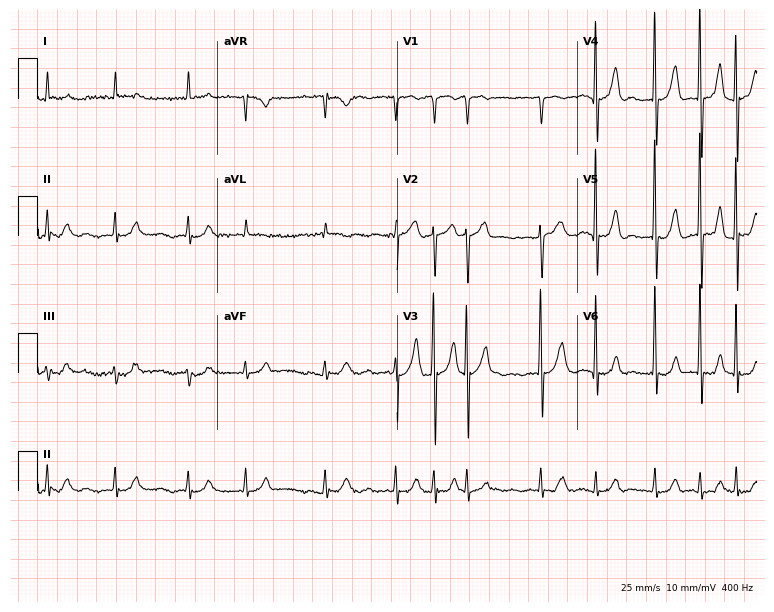
Resting 12-lead electrocardiogram. Patient: a male, 81 years old. The tracing shows atrial fibrillation.